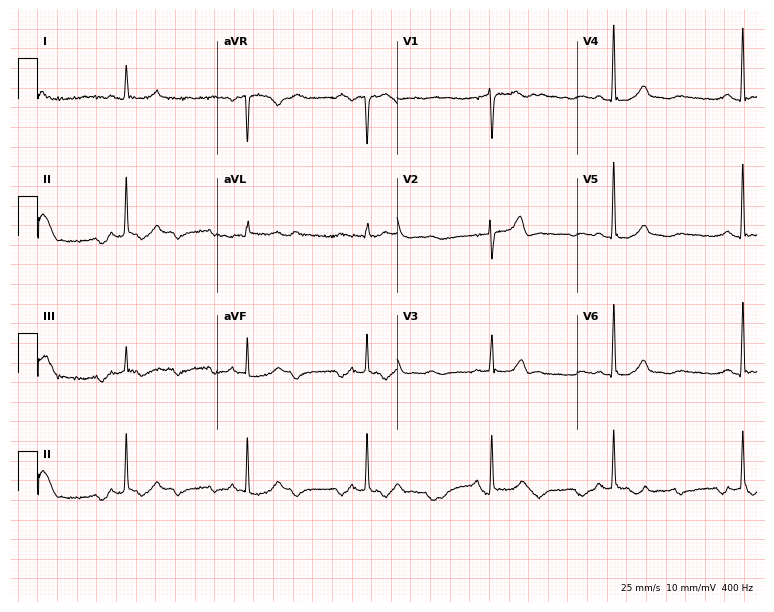
12-lead ECG from a woman, 53 years old. No first-degree AV block, right bundle branch block, left bundle branch block, sinus bradycardia, atrial fibrillation or sinus tachycardia recorded for this tracing.